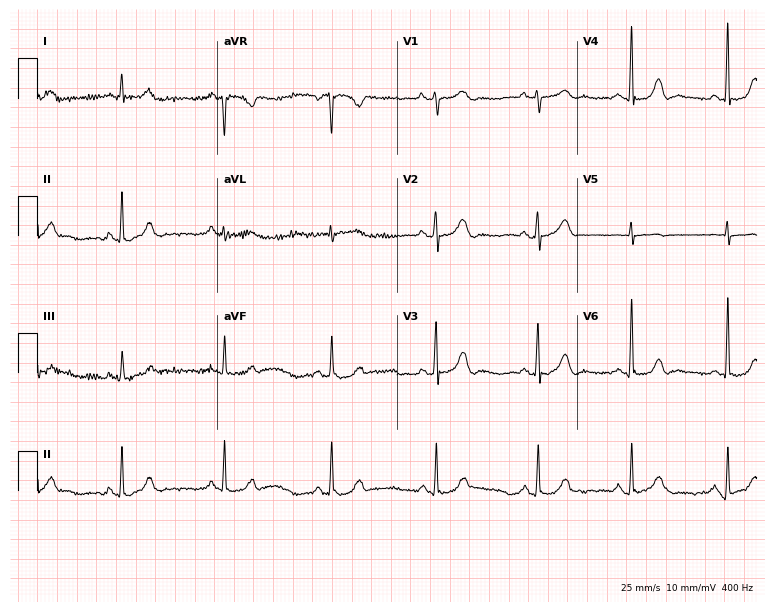
12-lead ECG from a 52-year-old female patient. Labelled as a normal ECG.